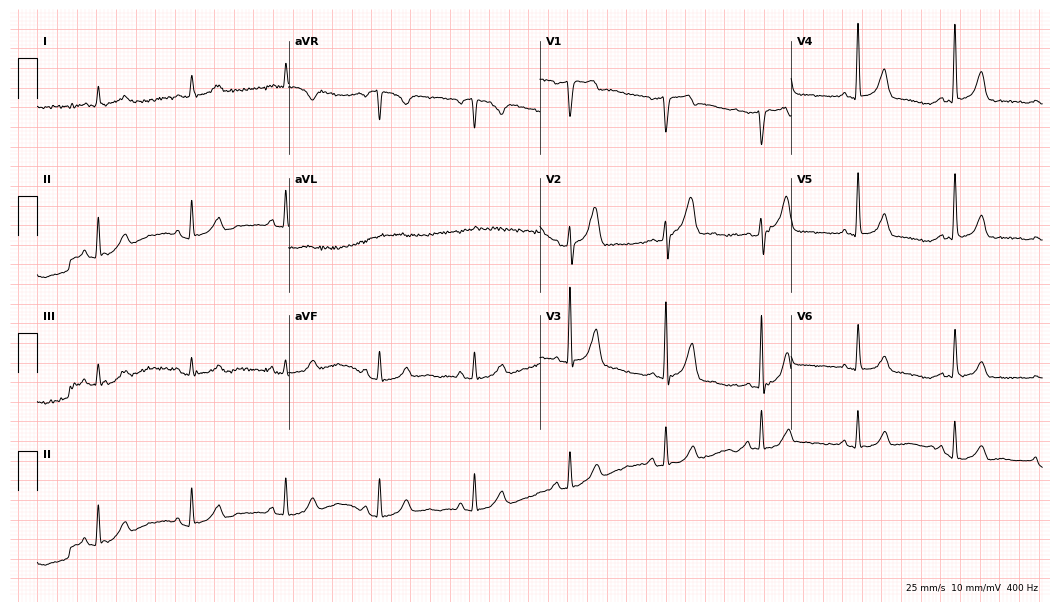
Electrocardiogram, a male patient, 78 years old. Of the six screened findings (first-degree AV block, right bundle branch block (RBBB), left bundle branch block (LBBB), sinus bradycardia, atrial fibrillation (AF), sinus tachycardia), none is recorded. Findings outside these six are not listed.